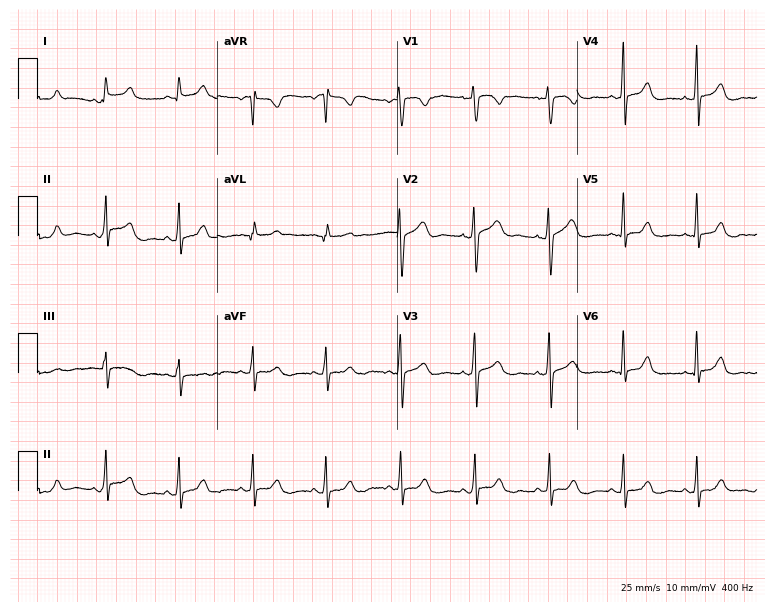
12-lead ECG from a female patient, 52 years old. No first-degree AV block, right bundle branch block, left bundle branch block, sinus bradycardia, atrial fibrillation or sinus tachycardia recorded for this tracing.